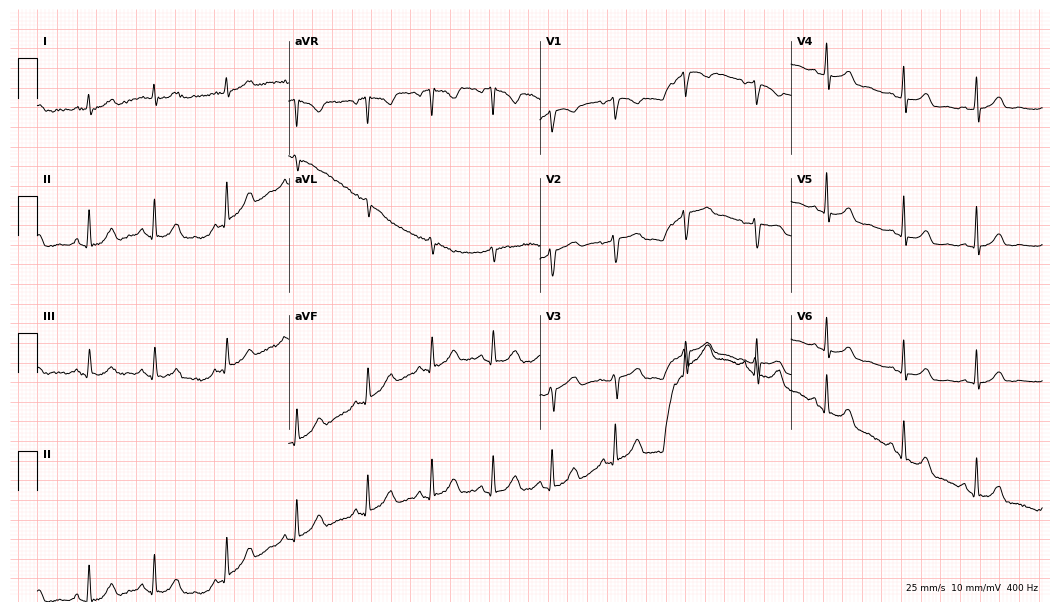
12-lead ECG from a 50-year-old woman. Labelled as a normal ECG.